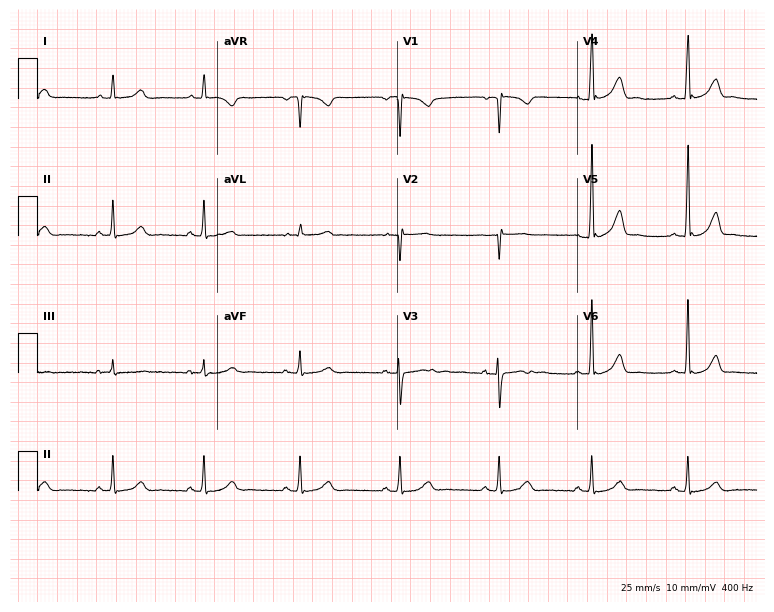
Resting 12-lead electrocardiogram (7.3-second recording at 400 Hz). Patient: a woman, 28 years old. None of these six findings is recorded: first-degree AV block, right bundle branch block, left bundle branch block, sinus bradycardia, atrial fibrillation, sinus tachycardia. Other findings, if any, are not listed.